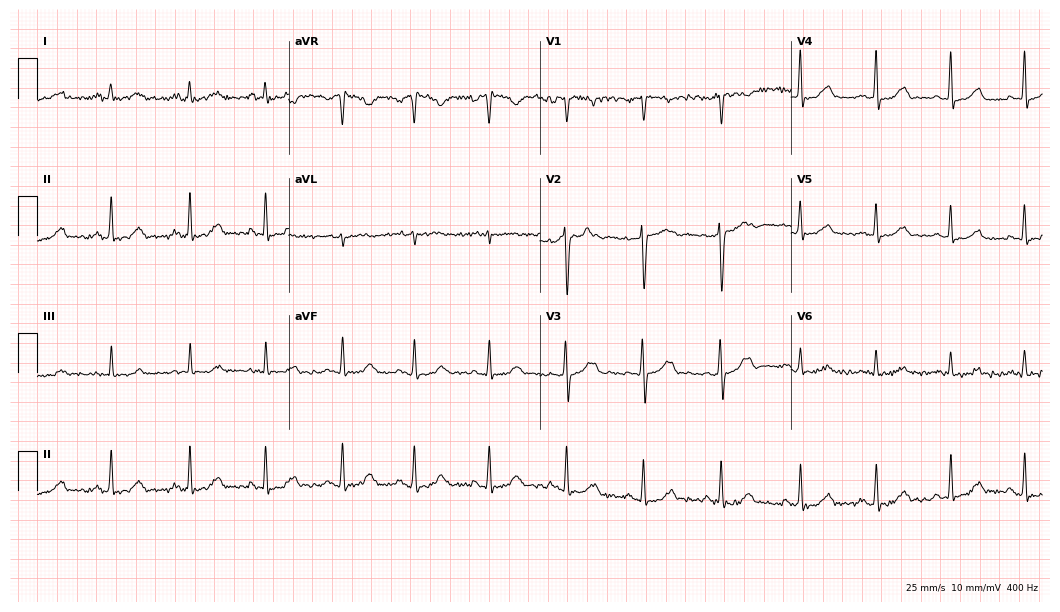
12-lead ECG (10.2-second recording at 400 Hz) from a 32-year-old female patient. Labelled as a normal ECG.